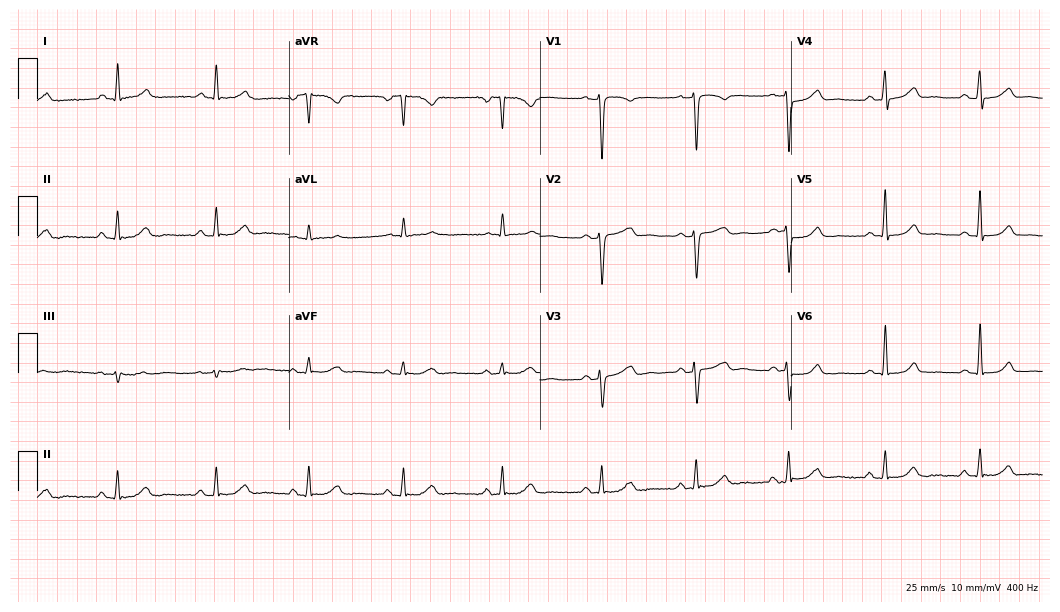
Electrocardiogram (10.2-second recording at 400 Hz), a 46-year-old woman. Of the six screened findings (first-degree AV block, right bundle branch block, left bundle branch block, sinus bradycardia, atrial fibrillation, sinus tachycardia), none is recorded. Other findings, if any, are not listed.